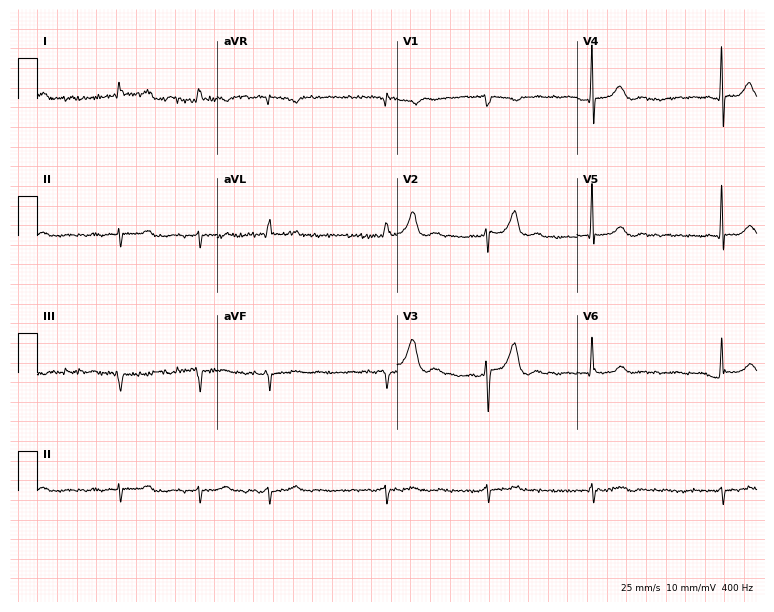
ECG — a 60-year-old male patient. Findings include atrial fibrillation.